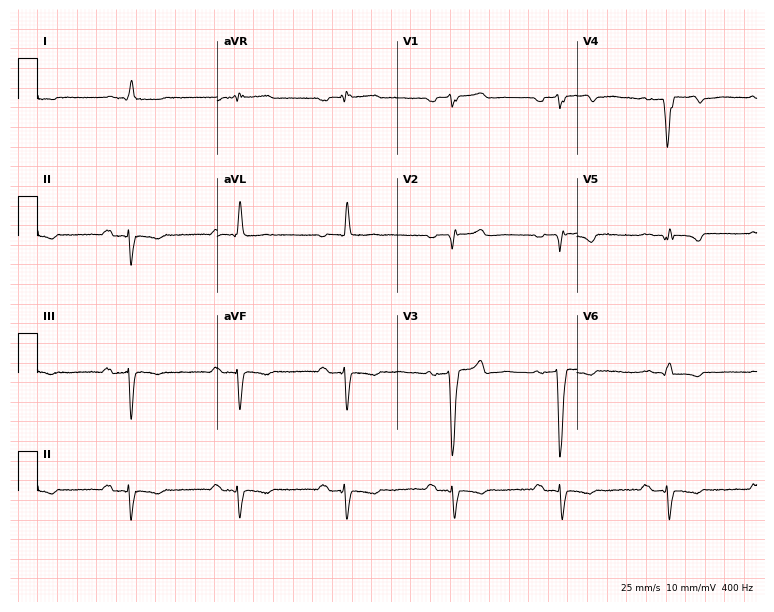
Resting 12-lead electrocardiogram (7.3-second recording at 400 Hz). Patient: an 85-year-old male. The tracing shows first-degree AV block.